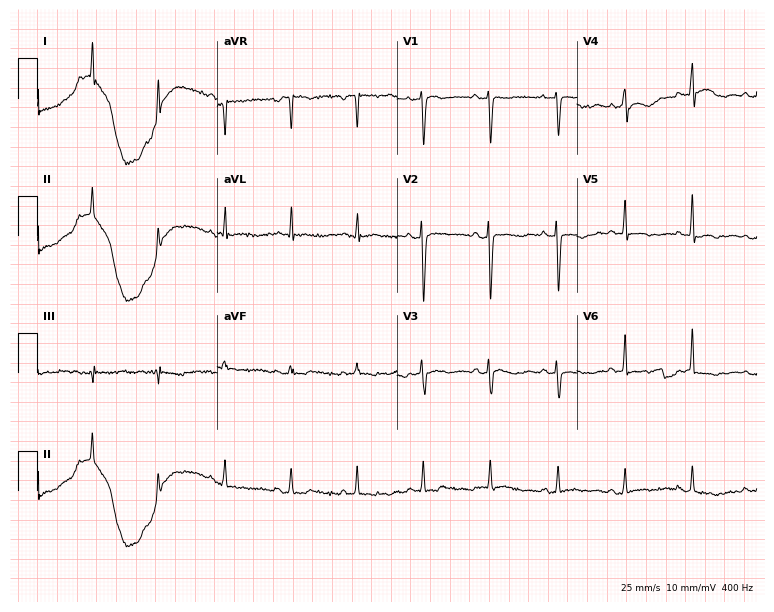
ECG (7.3-second recording at 400 Hz) — a female patient, 43 years old. Screened for six findings — first-degree AV block, right bundle branch block, left bundle branch block, sinus bradycardia, atrial fibrillation, sinus tachycardia — none is recorded.